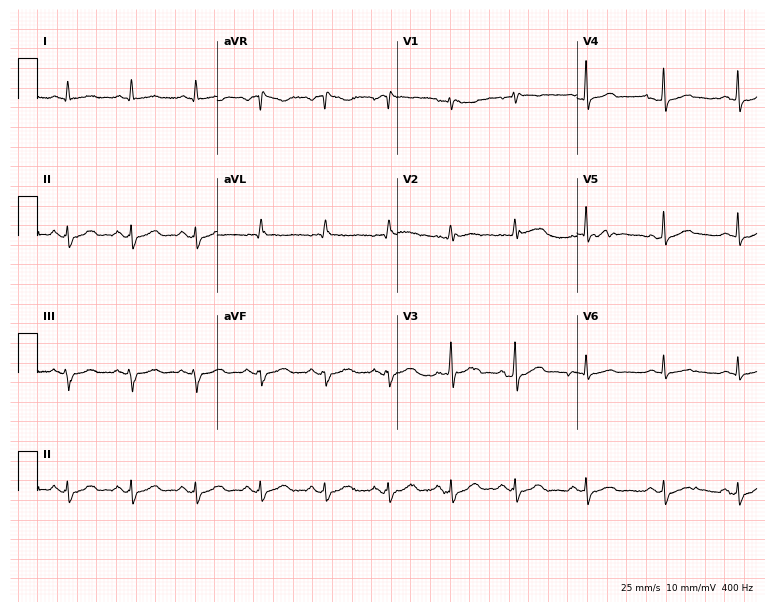
ECG (7.3-second recording at 400 Hz) — a 71-year-old man. Screened for six findings — first-degree AV block, right bundle branch block, left bundle branch block, sinus bradycardia, atrial fibrillation, sinus tachycardia — none is recorded.